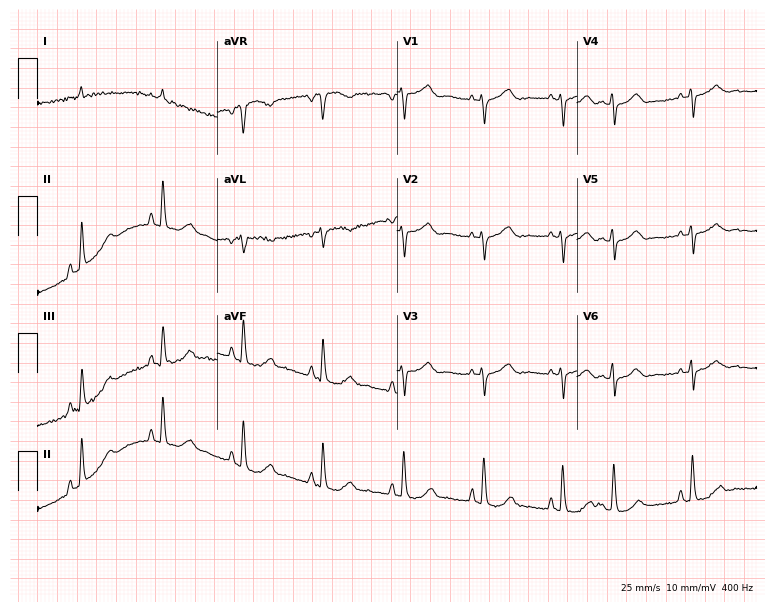
Electrocardiogram (7.3-second recording at 400 Hz), a male patient, 83 years old. Of the six screened findings (first-degree AV block, right bundle branch block (RBBB), left bundle branch block (LBBB), sinus bradycardia, atrial fibrillation (AF), sinus tachycardia), none is recorded.